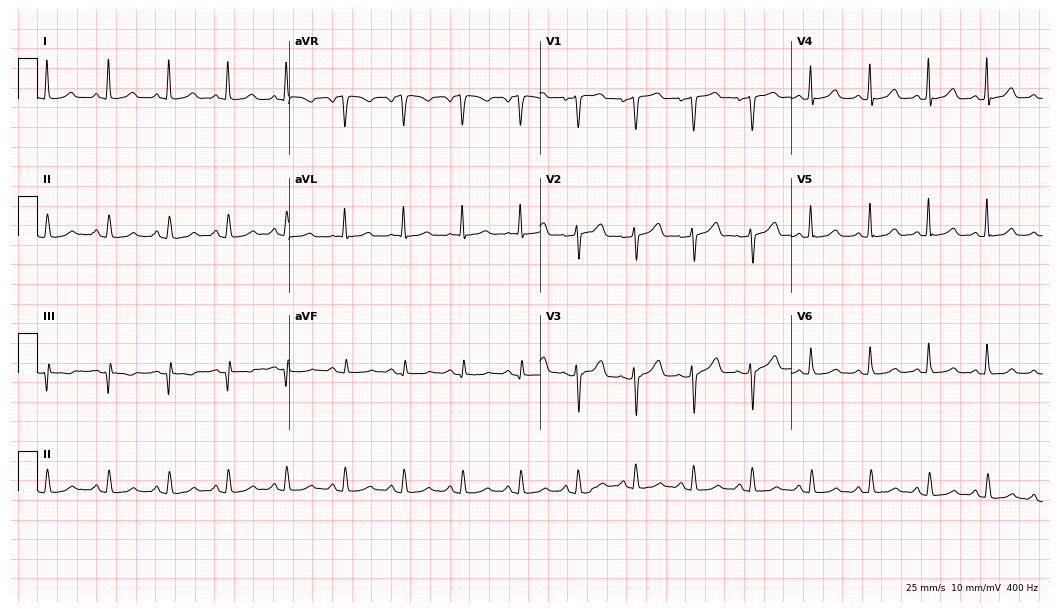
Resting 12-lead electrocardiogram. Patient: a 60-year-old female. The tracing shows sinus tachycardia (a sinus rate of 100 beats per minute or more).